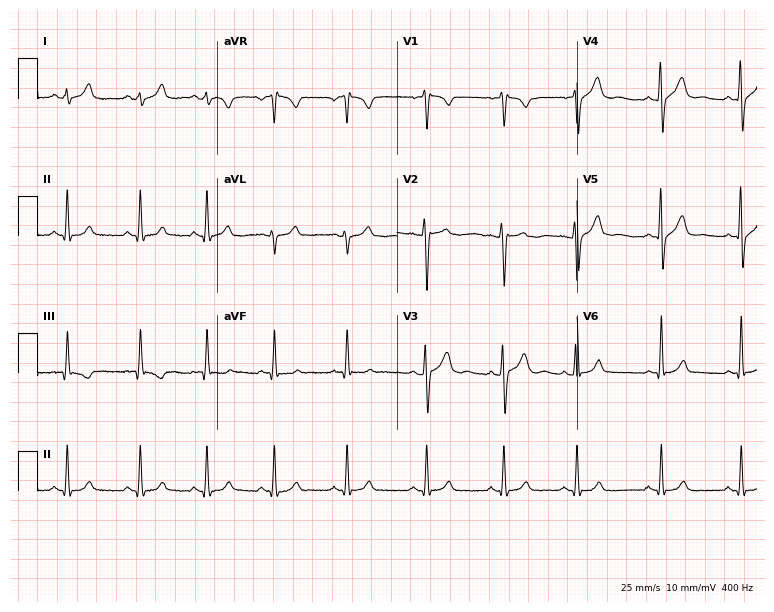
12-lead ECG from a 20-year-old male. Recorded interpretation: within normal limits.